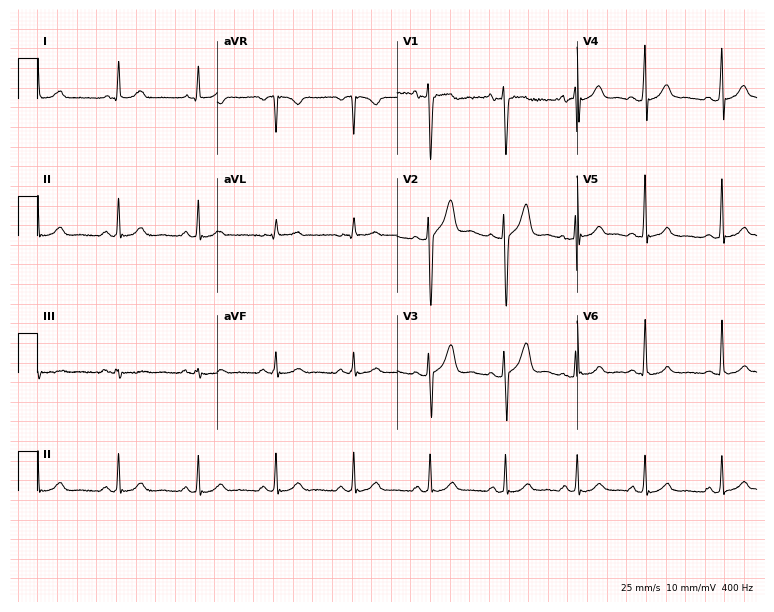
Electrocardiogram, a male, 26 years old. Overall reading on record: normal ECG.